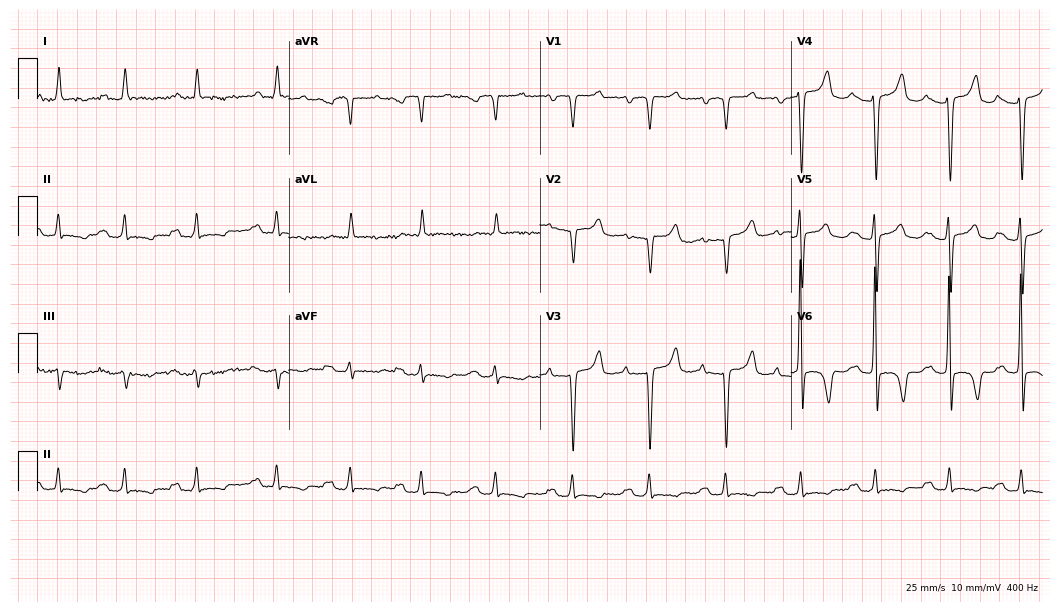
Electrocardiogram (10.2-second recording at 400 Hz), a woman, 68 years old. Interpretation includes first-degree AV block.